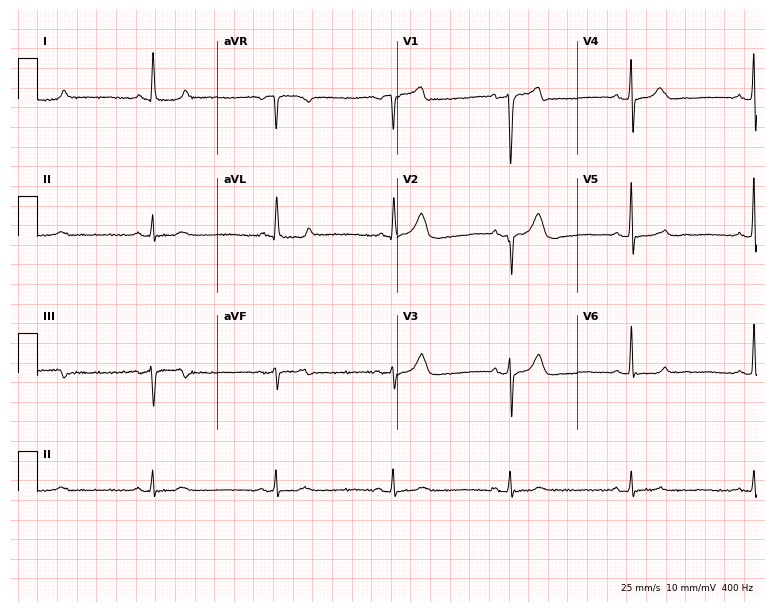
12-lead ECG from a 68-year-old man. Recorded interpretation: within normal limits.